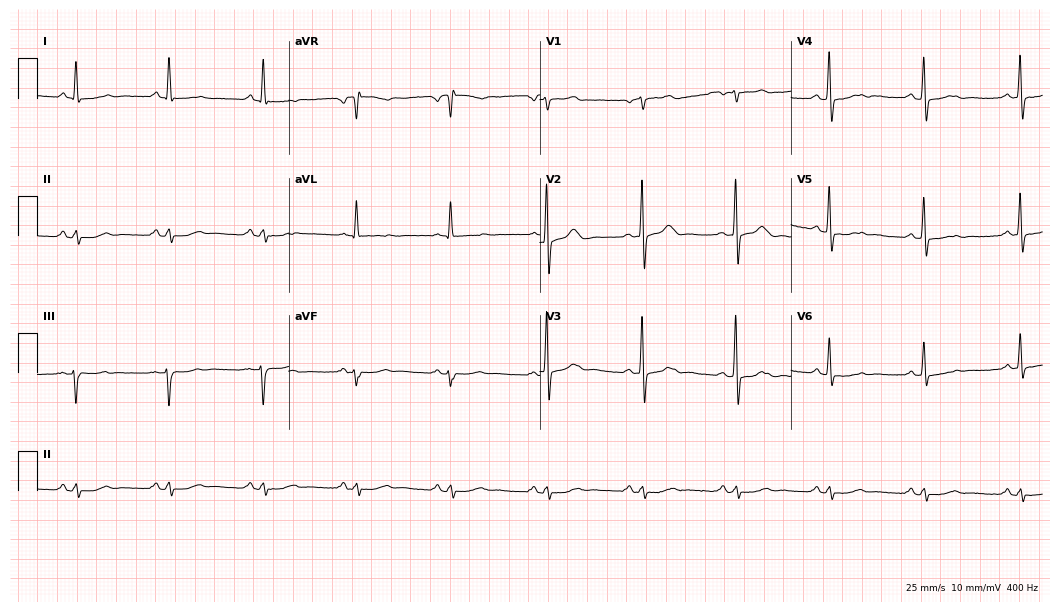
Standard 12-lead ECG recorded from a man, 77 years old (10.2-second recording at 400 Hz). Read as a normal ECG.